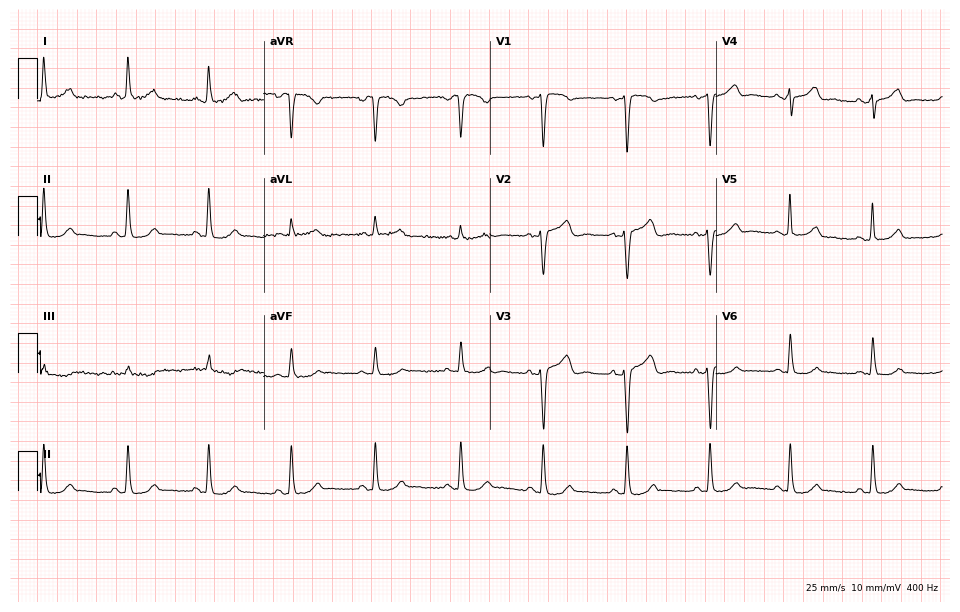
Resting 12-lead electrocardiogram. Patient: a female, 55 years old. Read as a normal ECG.